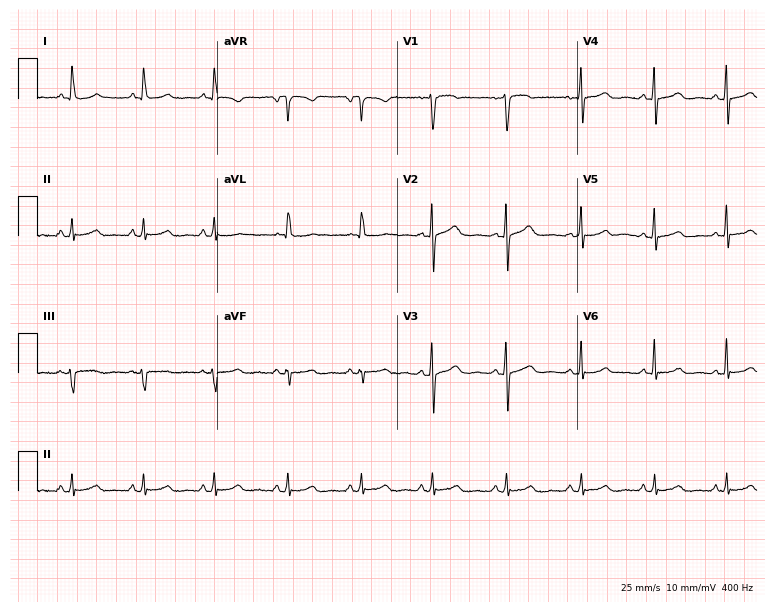
Standard 12-lead ECG recorded from a 52-year-old female patient (7.3-second recording at 400 Hz). Read as a normal ECG.